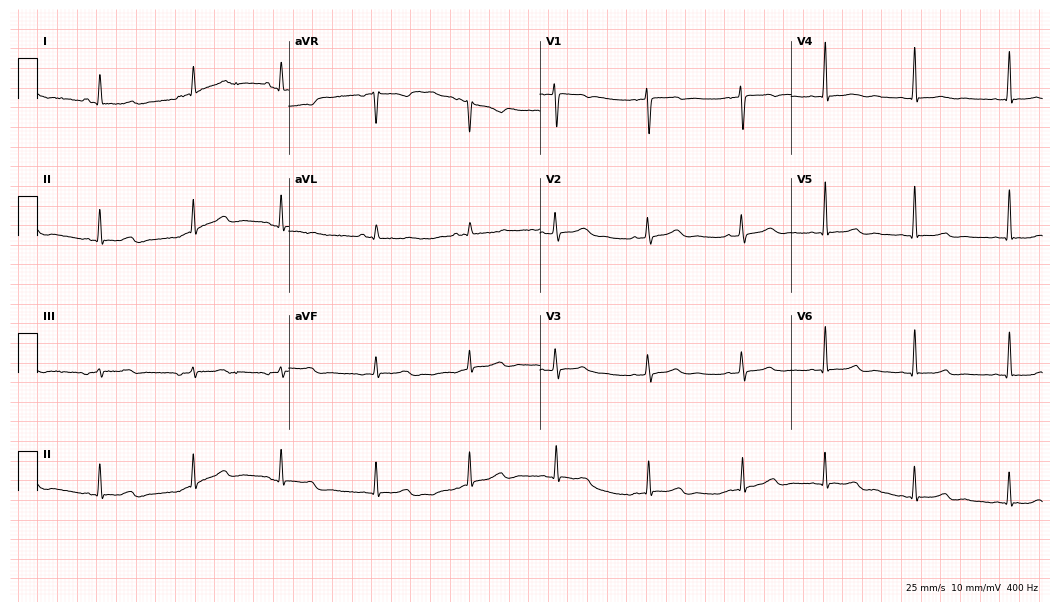
12-lead ECG from a 20-year-old woman. Screened for six findings — first-degree AV block, right bundle branch block, left bundle branch block, sinus bradycardia, atrial fibrillation, sinus tachycardia — none is recorded.